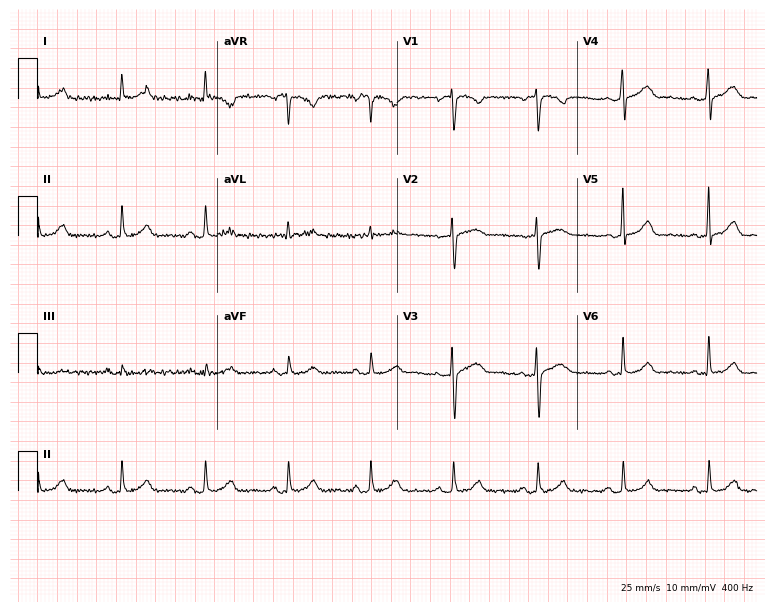
Standard 12-lead ECG recorded from a 45-year-old woman (7.3-second recording at 400 Hz). None of these six findings is recorded: first-degree AV block, right bundle branch block, left bundle branch block, sinus bradycardia, atrial fibrillation, sinus tachycardia. Findings outside these six are not listed.